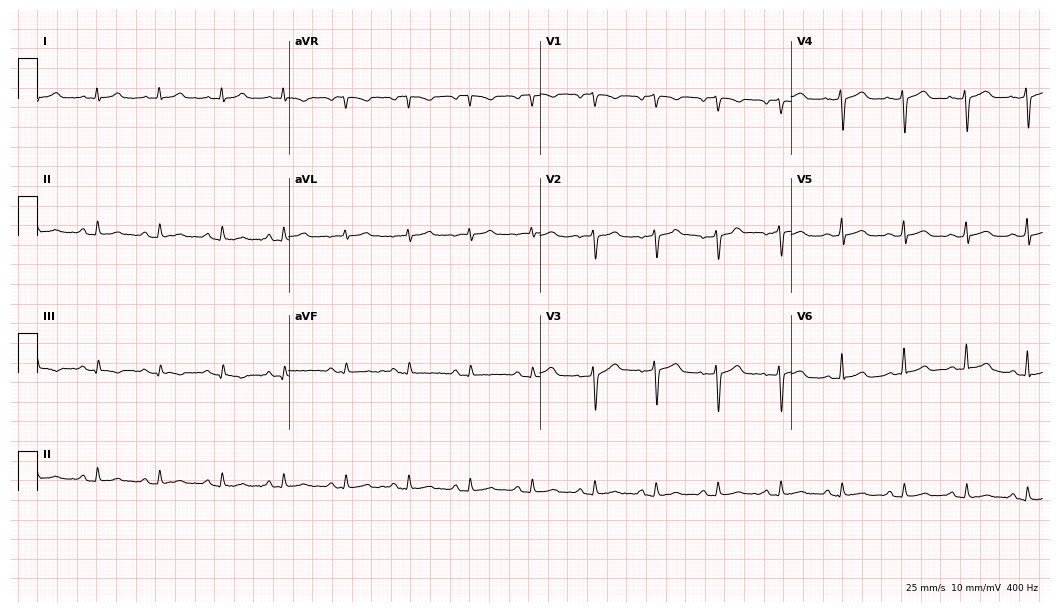
Standard 12-lead ECG recorded from a female, 58 years old (10.2-second recording at 400 Hz). Read as a normal ECG.